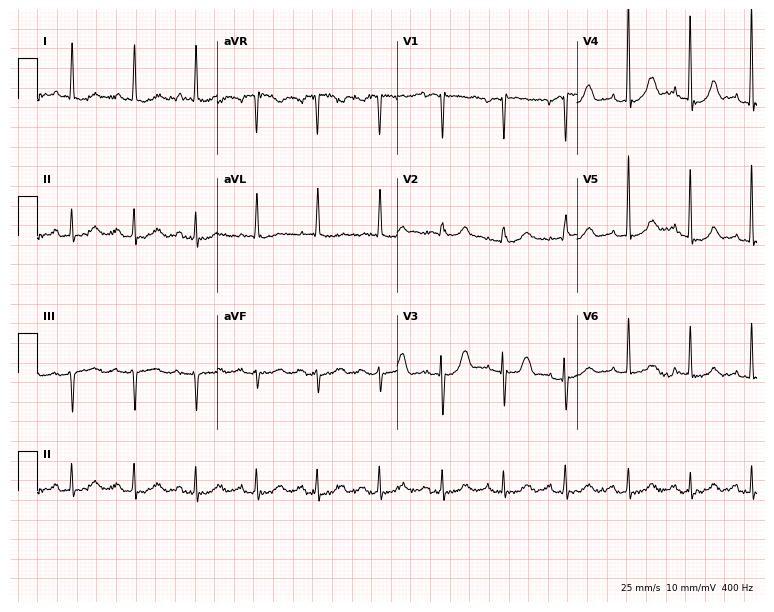
12-lead ECG from a 76-year-old female patient. Screened for six findings — first-degree AV block, right bundle branch block, left bundle branch block, sinus bradycardia, atrial fibrillation, sinus tachycardia — none is recorded. Findings outside these six are not listed.